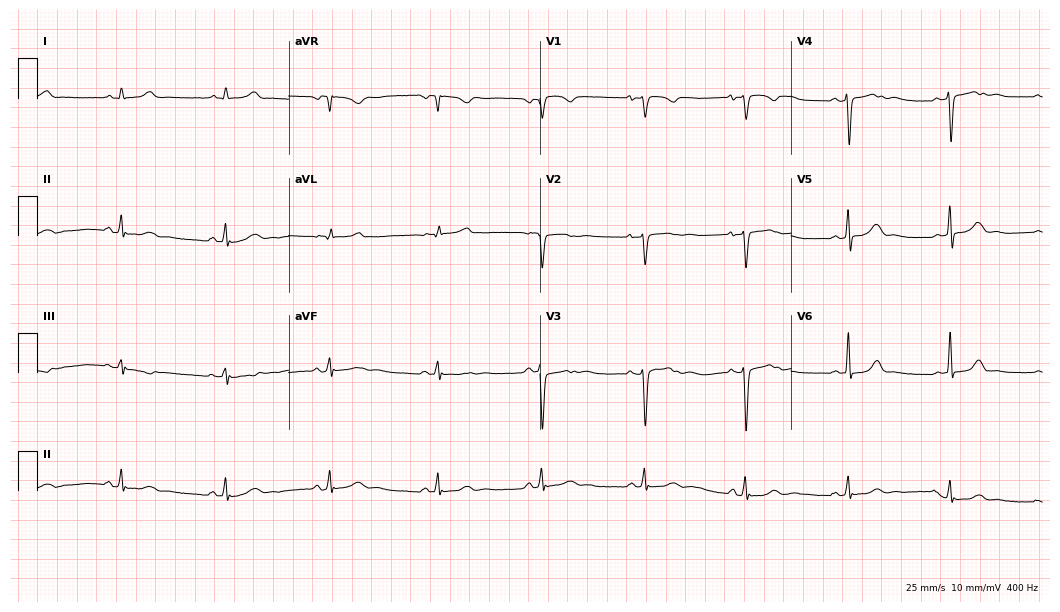
12-lead ECG from a female, 38 years old. Labelled as a normal ECG.